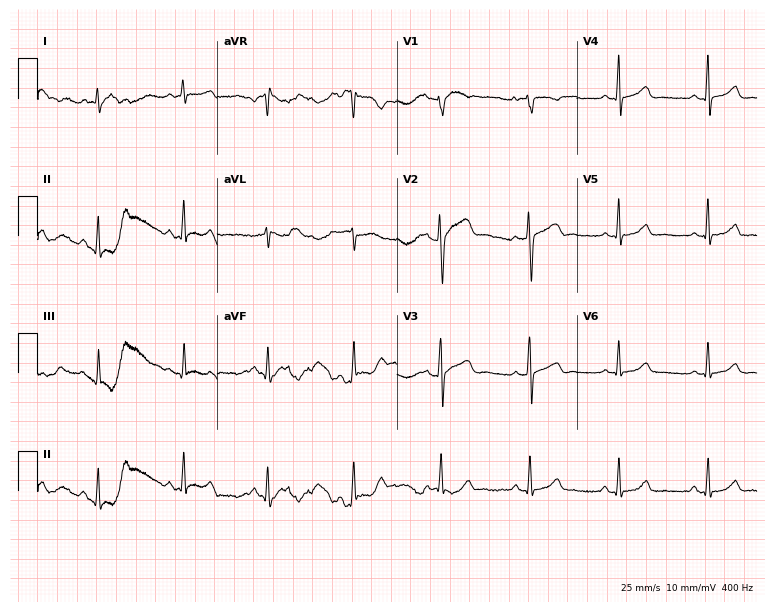
12-lead ECG from a woman, 45 years old (7.3-second recording at 400 Hz). Recorded interpretation: within normal limits.